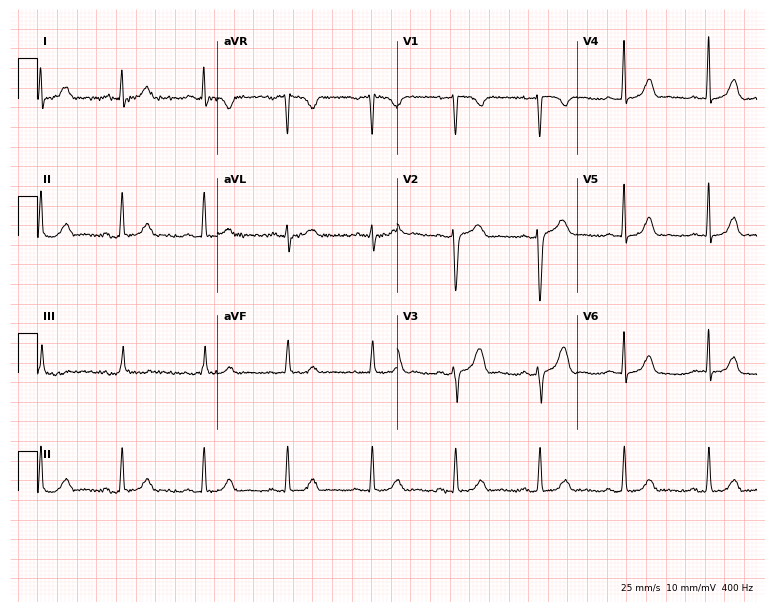
Electrocardiogram (7.3-second recording at 400 Hz), a 39-year-old female patient. Of the six screened findings (first-degree AV block, right bundle branch block, left bundle branch block, sinus bradycardia, atrial fibrillation, sinus tachycardia), none is recorded.